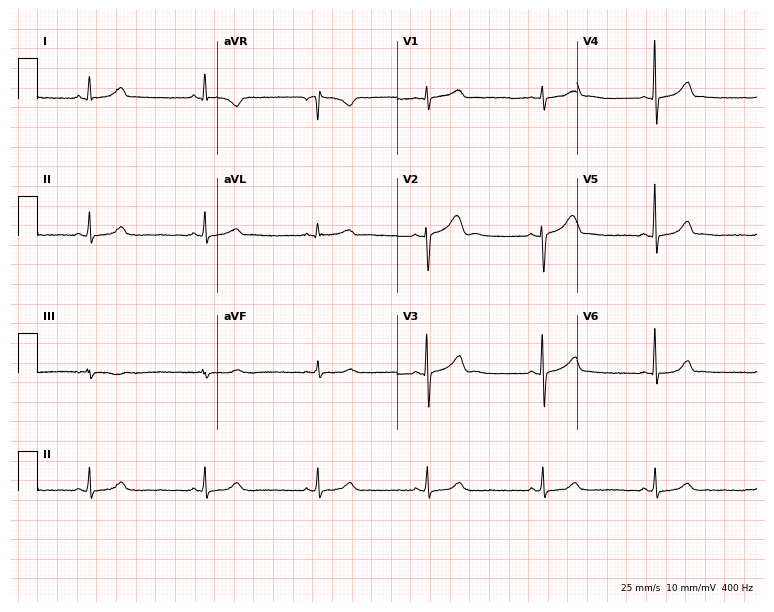
Electrocardiogram (7.3-second recording at 400 Hz), a woman, 41 years old. Of the six screened findings (first-degree AV block, right bundle branch block, left bundle branch block, sinus bradycardia, atrial fibrillation, sinus tachycardia), none is recorded.